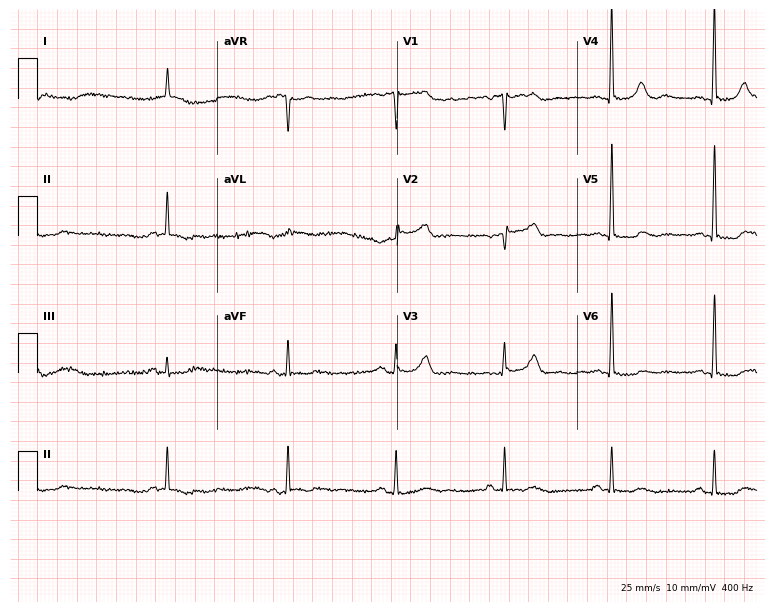
12-lead ECG from a female, 81 years old. Screened for six findings — first-degree AV block, right bundle branch block, left bundle branch block, sinus bradycardia, atrial fibrillation, sinus tachycardia — none is recorded.